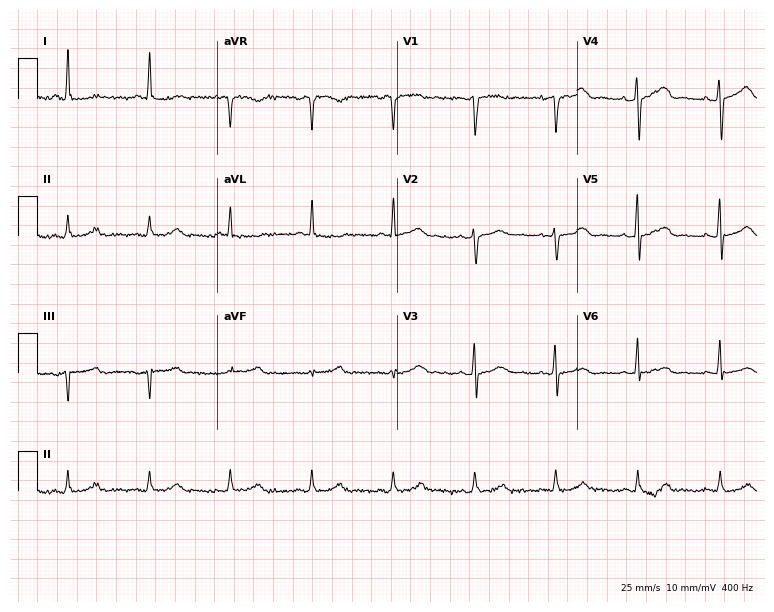
Standard 12-lead ECG recorded from a female, 54 years old. Read as a normal ECG.